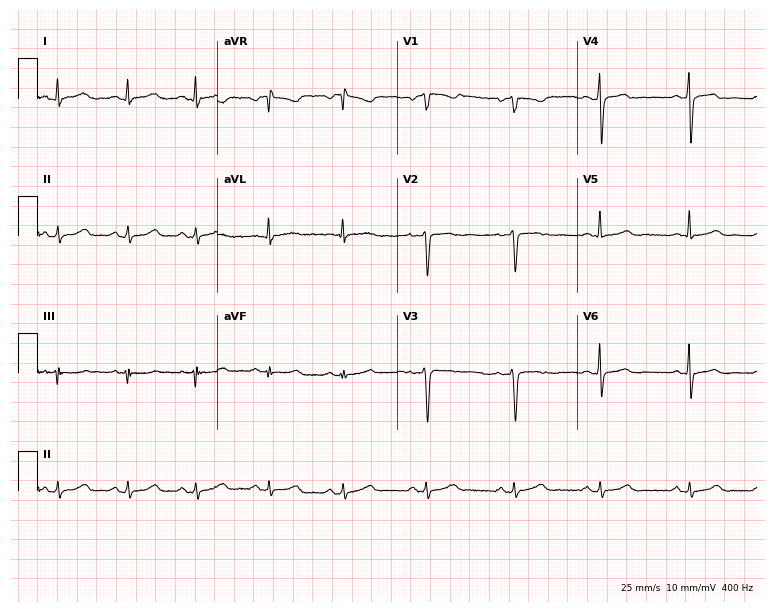
Resting 12-lead electrocardiogram (7.3-second recording at 400 Hz). Patient: a woman, 44 years old. None of these six findings is recorded: first-degree AV block, right bundle branch block, left bundle branch block, sinus bradycardia, atrial fibrillation, sinus tachycardia.